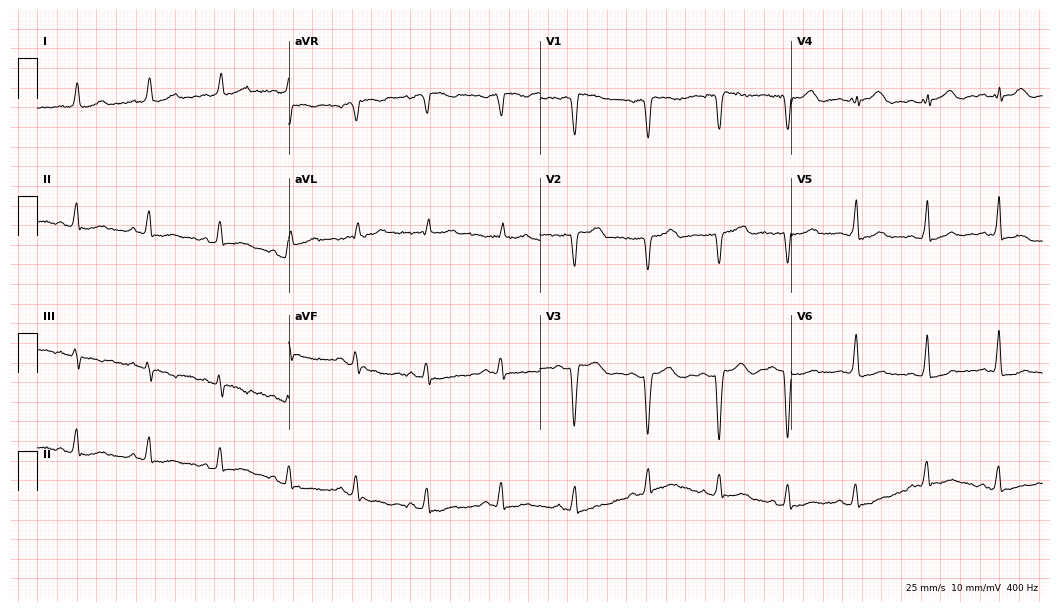
Standard 12-lead ECG recorded from a woman, 36 years old (10.2-second recording at 400 Hz). None of these six findings is recorded: first-degree AV block, right bundle branch block, left bundle branch block, sinus bradycardia, atrial fibrillation, sinus tachycardia. Other findings, if any, are not listed.